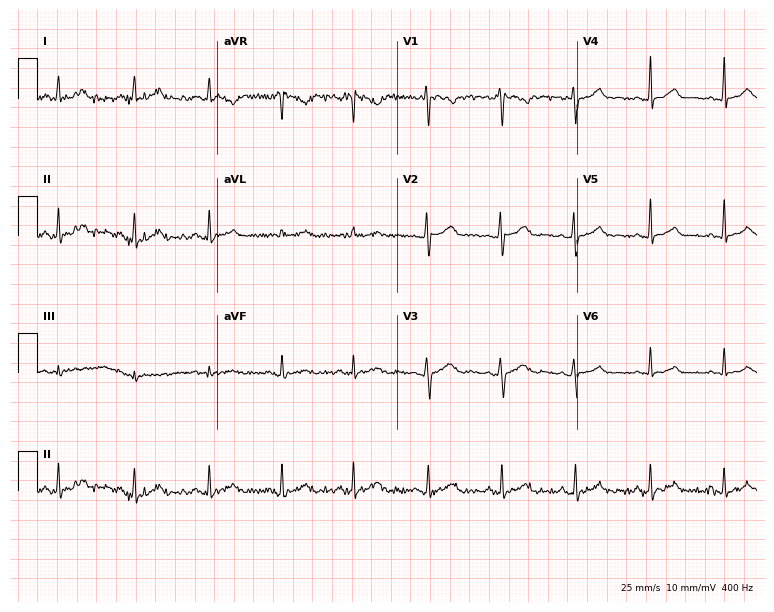
12-lead ECG from a woman, 34 years old. Labelled as a normal ECG.